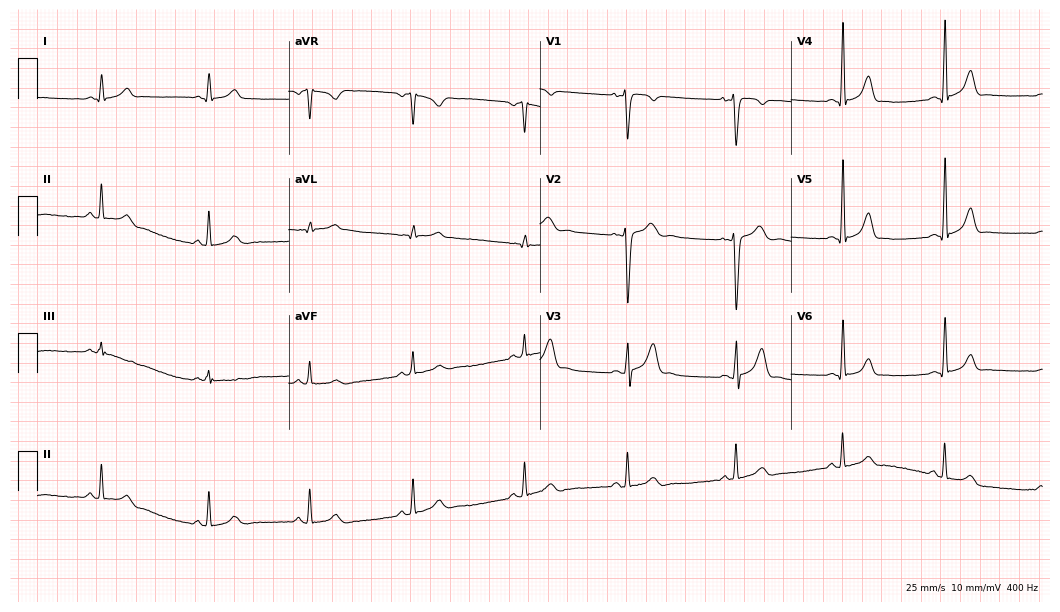
Resting 12-lead electrocardiogram (10.2-second recording at 400 Hz). Patient: a female, 47 years old. Read as a normal ECG.